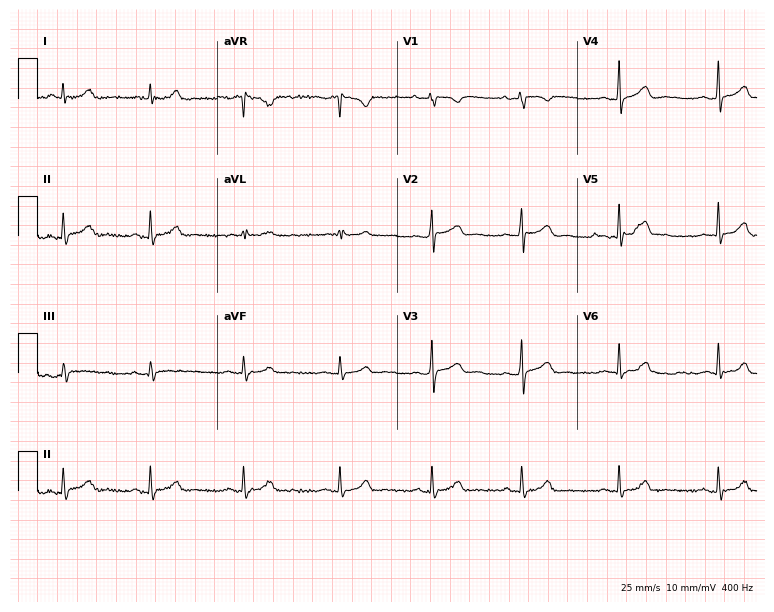
Resting 12-lead electrocardiogram. Patient: a female, 27 years old. None of these six findings is recorded: first-degree AV block, right bundle branch block, left bundle branch block, sinus bradycardia, atrial fibrillation, sinus tachycardia. Only these six findings were labelled.